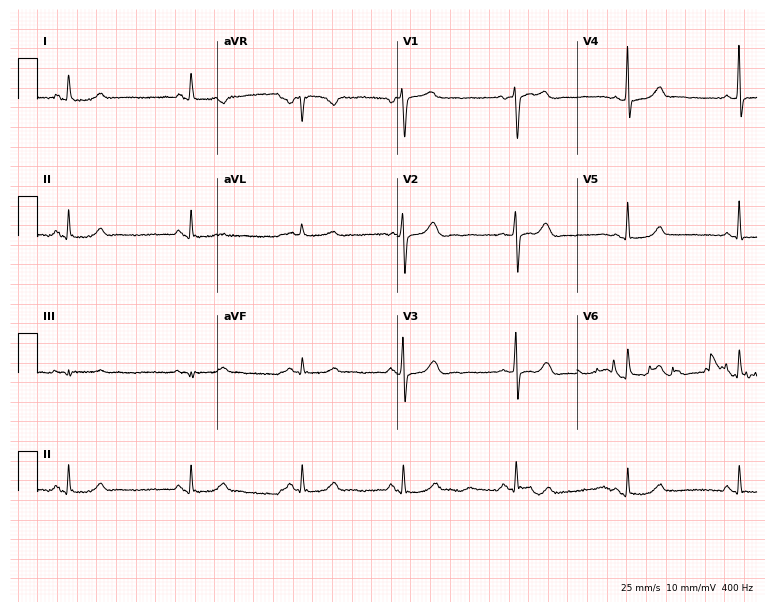
Standard 12-lead ECG recorded from a 51-year-old woman (7.3-second recording at 400 Hz). None of these six findings is recorded: first-degree AV block, right bundle branch block, left bundle branch block, sinus bradycardia, atrial fibrillation, sinus tachycardia.